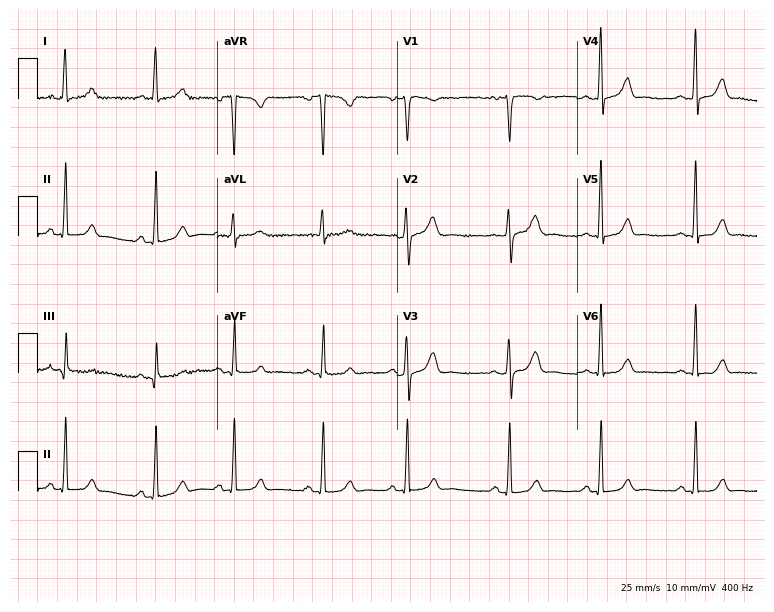
Electrocardiogram, a 17-year-old female. Overall reading on record: normal ECG.